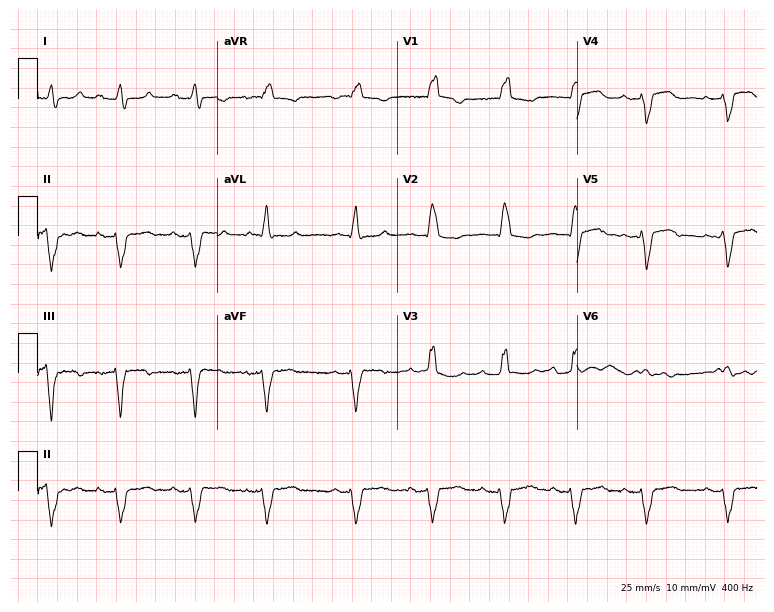
ECG — a 57-year-old woman. Findings include right bundle branch block (RBBB).